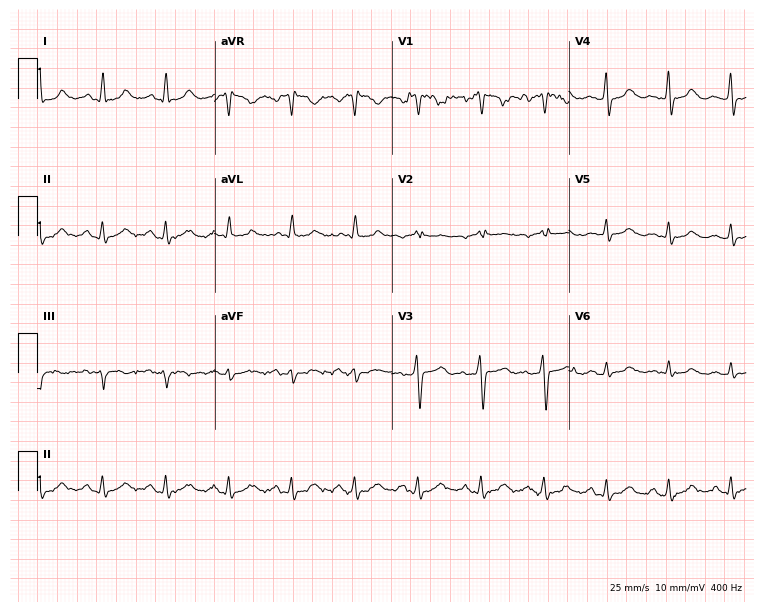
Electrocardiogram (7.2-second recording at 400 Hz), a 30-year-old woman. Overall reading on record: normal ECG.